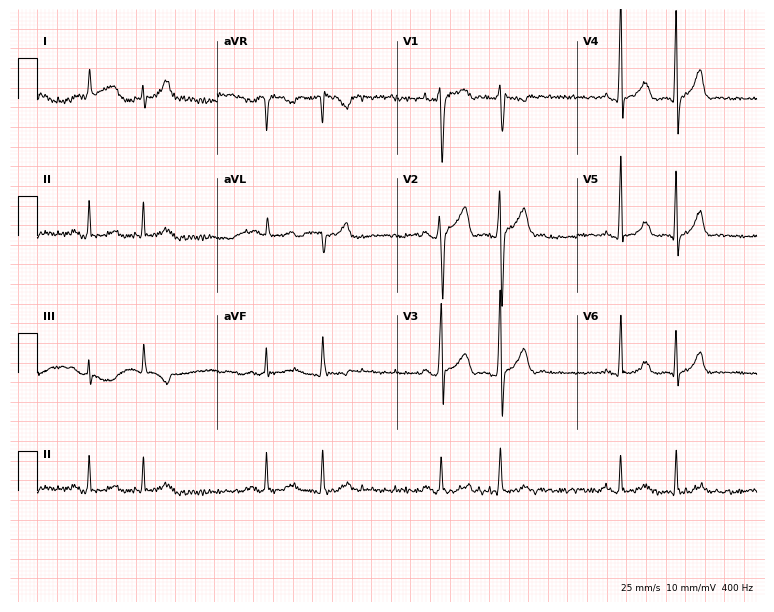
12-lead ECG from a man, 35 years old (7.3-second recording at 400 Hz). No first-degree AV block, right bundle branch block, left bundle branch block, sinus bradycardia, atrial fibrillation or sinus tachycardia recorded for this tracing. Only these six findings were labelled.